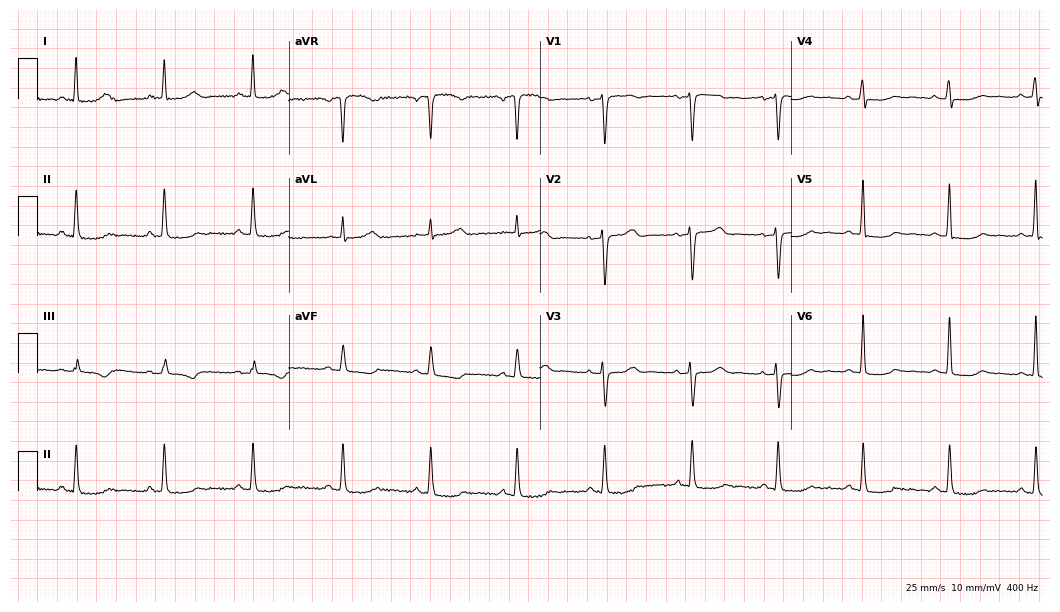
Standard 12-lead ECG recorded from a woman, 61 years old (10.2-second recording at 400 Hz). None of these six findings is recorded: first-degree AV block, right bundle branch block, left bundle branch block, sinus bradycardia, atrial fibrillation, sinus tachycardia.